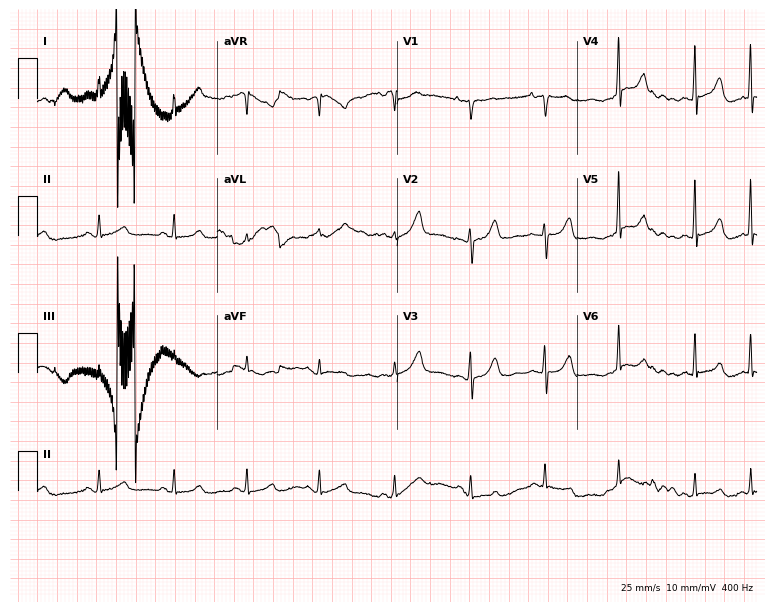
Standard 12-lead ECG recorded from a female, 83 years old. None of these six findings is recorded: first-degree AV block, right bundle branch block, left bundle branch block, sinus bradycardia, atrial fibrillation, sinus tachycardia.